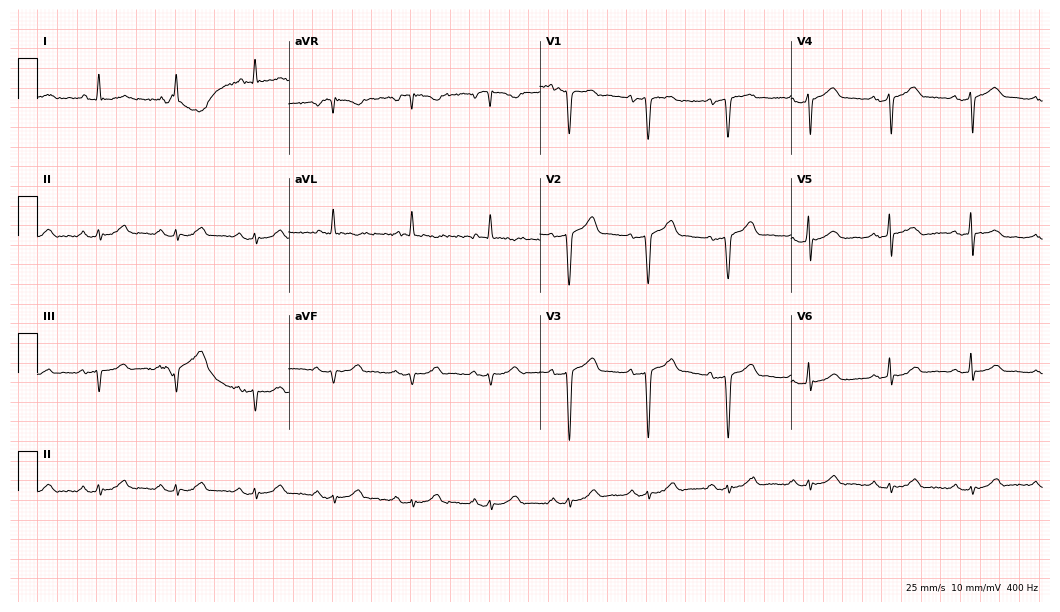
Resting 12-lead electrocardiogram. Patient: a 68-year-old male. None of these six findings is recorded: first-degree AV block, right bundle branch block, left bundle branch block, sinus bradycardia, atrial fibrillation, sinus tachycardia.